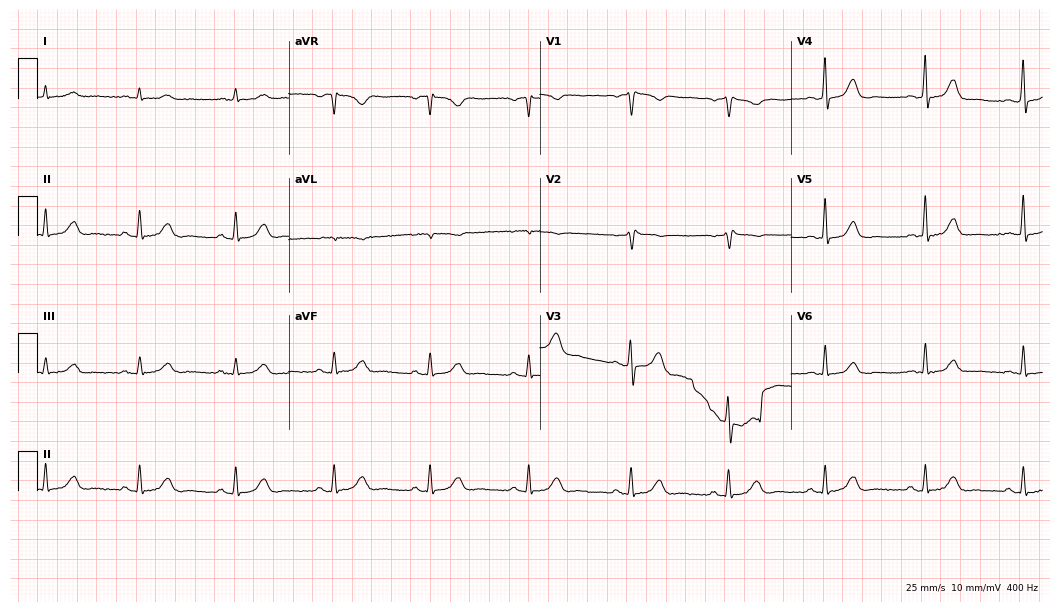
ECG — a man, 68 years old. Labelled as a normal ECG.